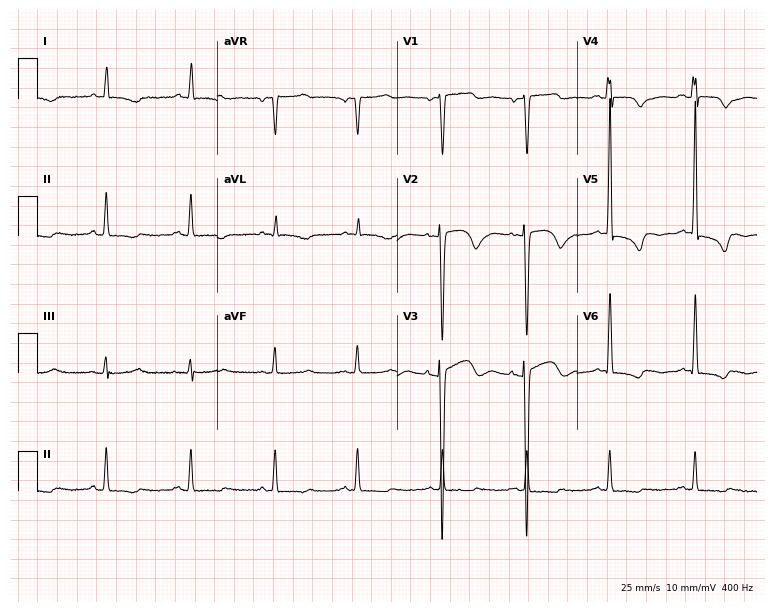
12-lead ECG from a woman, 68 years old. Screened for six findings — first-degree AV block, right bundle branch block, left bundle branch block, sinus bradycardia, atrial fibrillation, sinus tachycardia — none is recorded.